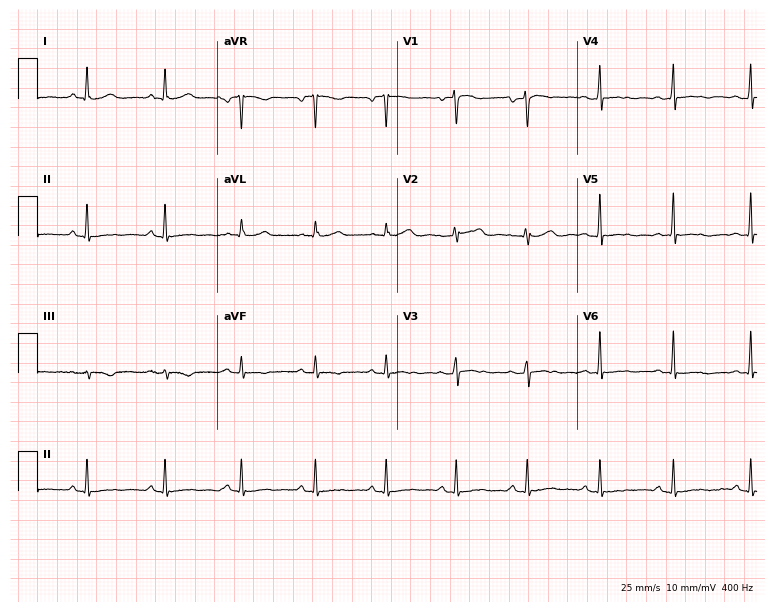
Resting 12-lead electrocardiogram (7.3-second recording at 400 Hz). Patient: a 33-year-old woman. None of these six findings is recorded: first-degree AV block, right bundle branch block (RBBB), left bundle branch block (LBBB), sinus bradycardia, atrial fibrillation (AF), sinus tachycardia. Only these six findings were labelled.